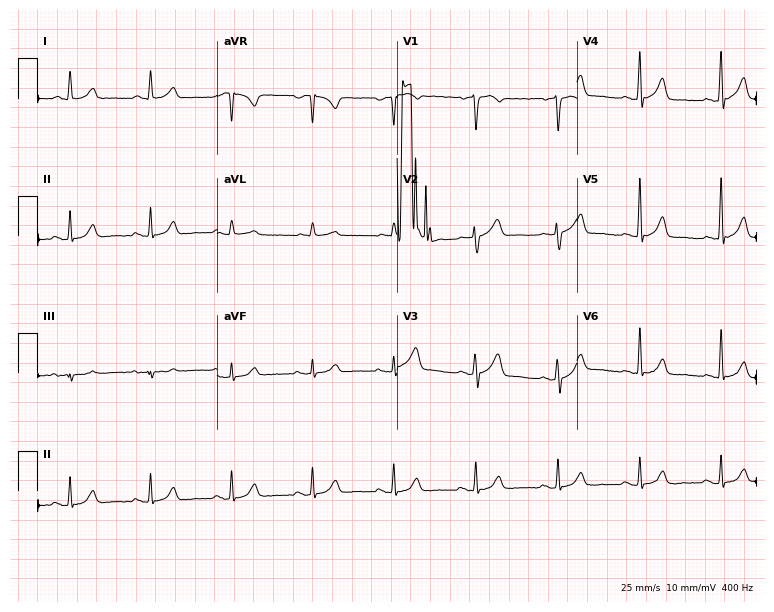
ECG — a male patient, 61 years old. Screened for six findings — first-degree AV block, right bundle branch block, left bundle branch block, sinus bradycardia, atrial fibrillation, sinus tachycardia — none is recorded.